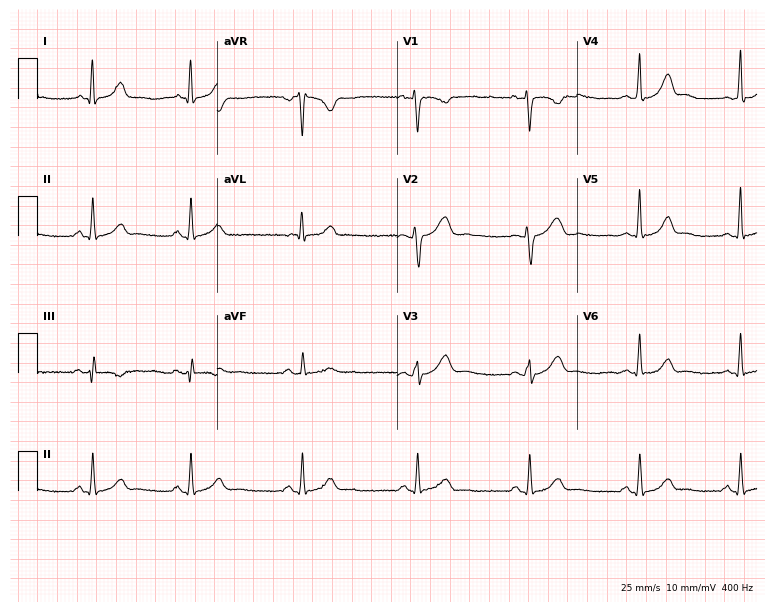
Electrocardiogram, a 23-year-old female patient. Of the six screened findings (first-degree AV block, right bundle branch block (RBBB), left bundle branch block (LBBB), sinus bradycardia, atrial fibrillation (AF), sinus tachycardia), none is recorded.